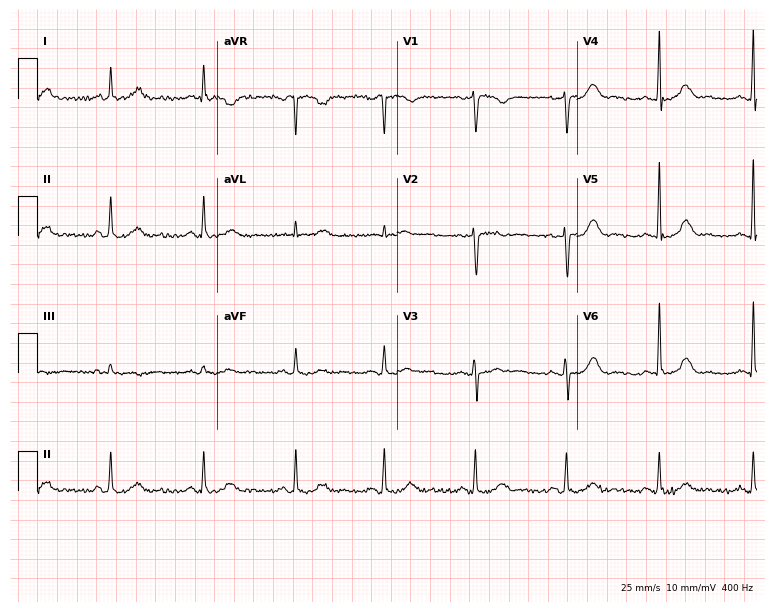
Resting 12-lead electrocardiogram (7.3-second recording at 400 Hz). Patient: a 52-year-old female. Read as a normal ECG.